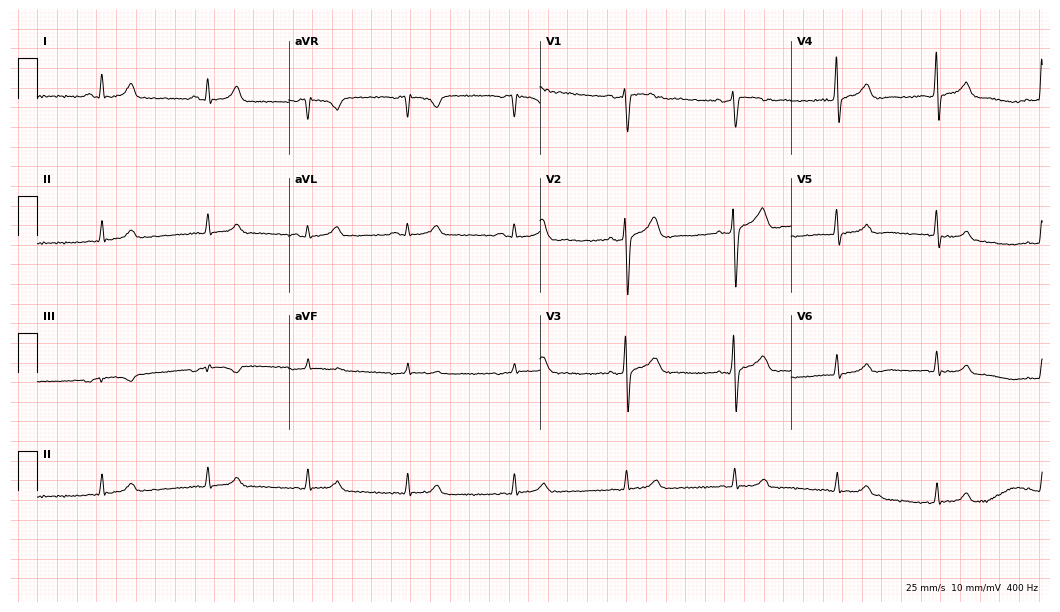
12-lead ECG (10.2-second recording at 400 Hz) from a man, 40 years old. Screened for six findings — first-degree AV block, right bundle branch block, left bundle branch block, sinus bradycardia, atrial fibrillation, sinus tachycardia — none is recorded. Other findings, if any, are not listed.